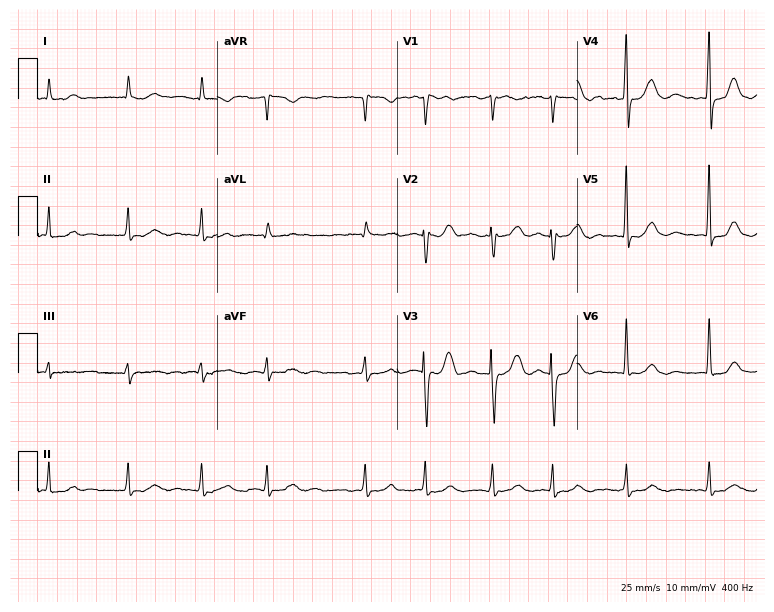
12-lead ECG from a 76-year-old female. Findings include atrial fibrillation.